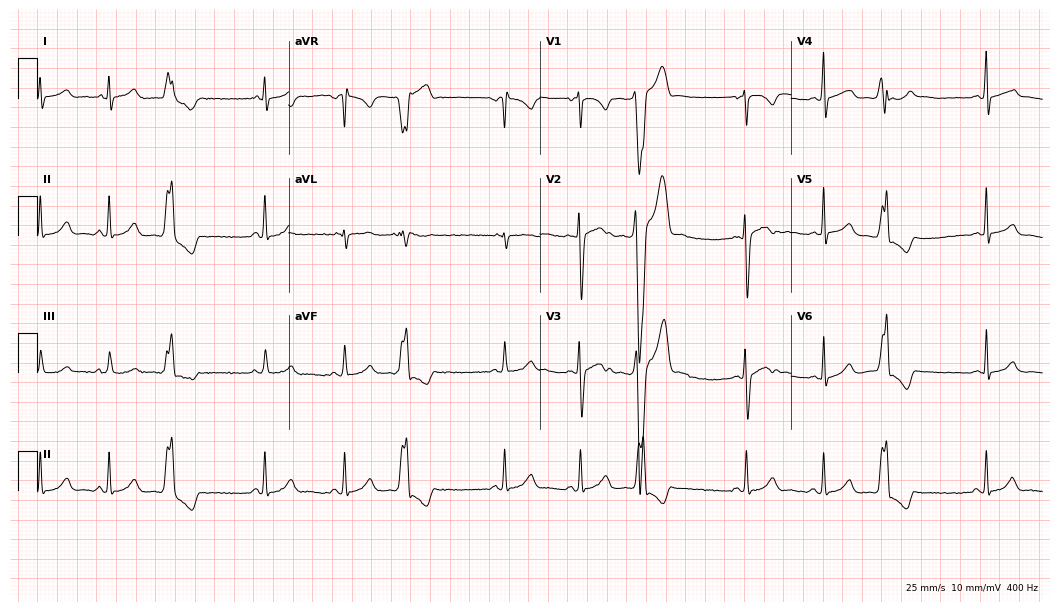
Standard 12-lead ECG recorded from a woman, 19 years old (10.2-second recording at 400 Hz). None of these six findings is recorded: first-degree AV block, right bundle branch block (RBBB), left bundle branch block (LBBB), sinus bradycardia, atrial fibrillation (AF), sinus tachycardia.